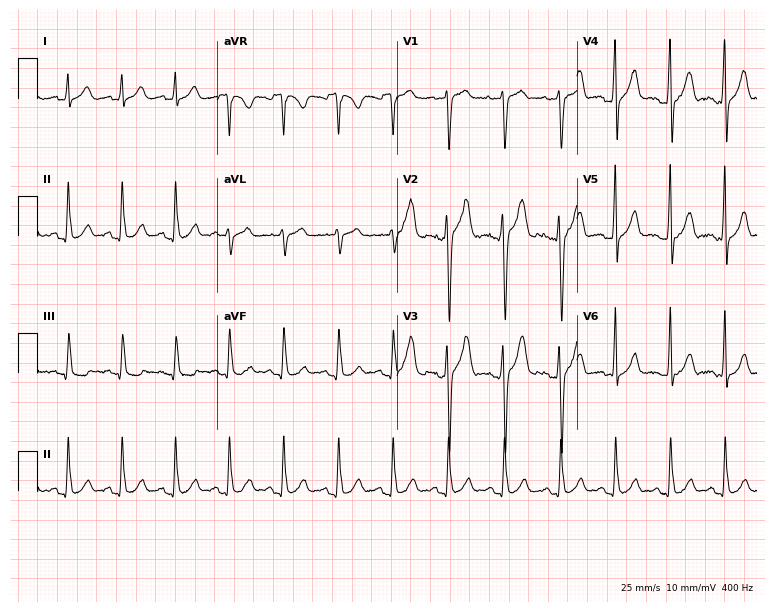
Electrocardiogram (7.3-second recording at 400 Hz), a 20-year-old male patient. Interpretation includes sinus tachycardia (a sinus rate of 100 beats per minute or more).